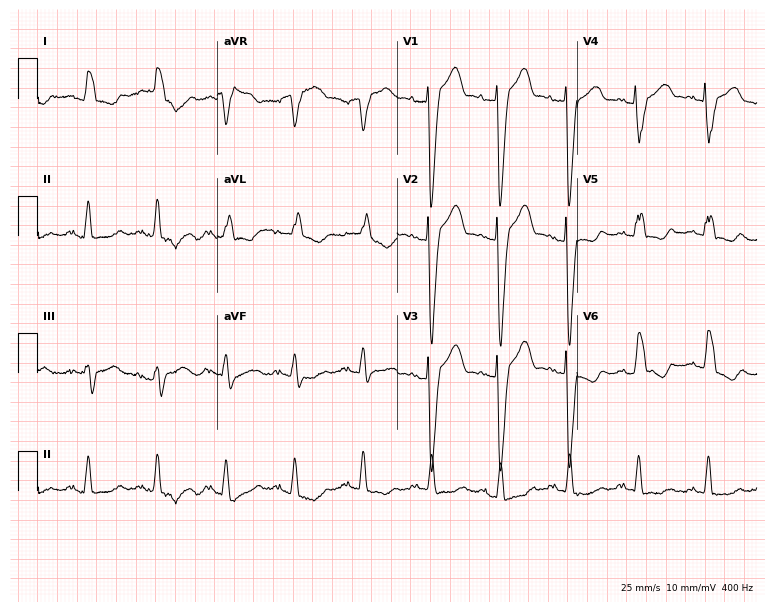
Resting 12-lead electrocardiogram (7.3-second recording at 400 Hz). Patient: a male, 76 years old. The tracing shows left bundle branch block.